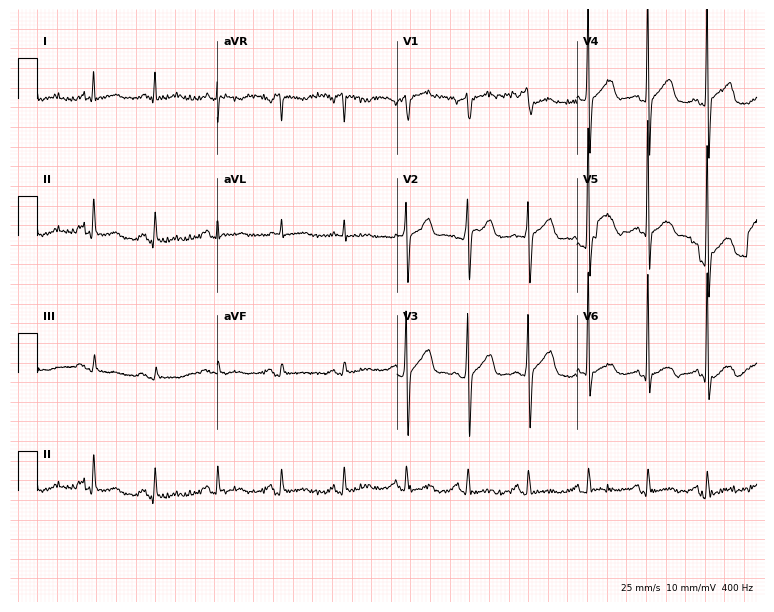
ECG — a 71-year-old male patient. Screened for six findings — first-degree AV block, right bundle branch block, left bundle branch block, sinus bradycardia, atrial fibrillation, sinus tachycardia — none is recorded. Findings outside these six are not listed.